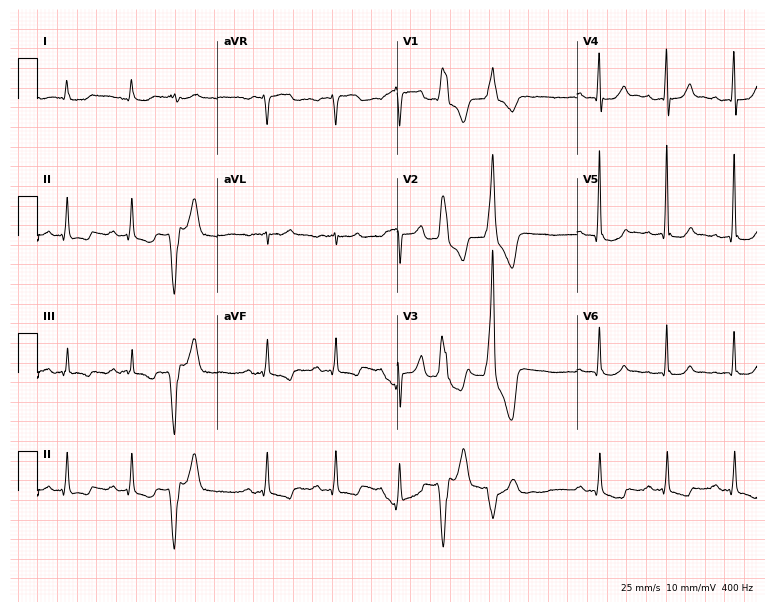
Resting 12-lead electrocardiogram (7.3-second recording at 400 Hz). Patient: a male, 84 years old. None of these six findings is recorded: first-degree AV block, right bundle branch block, left bundle branch block, sinus bradycardia, atrial fibrillation, sinus tachycardia.